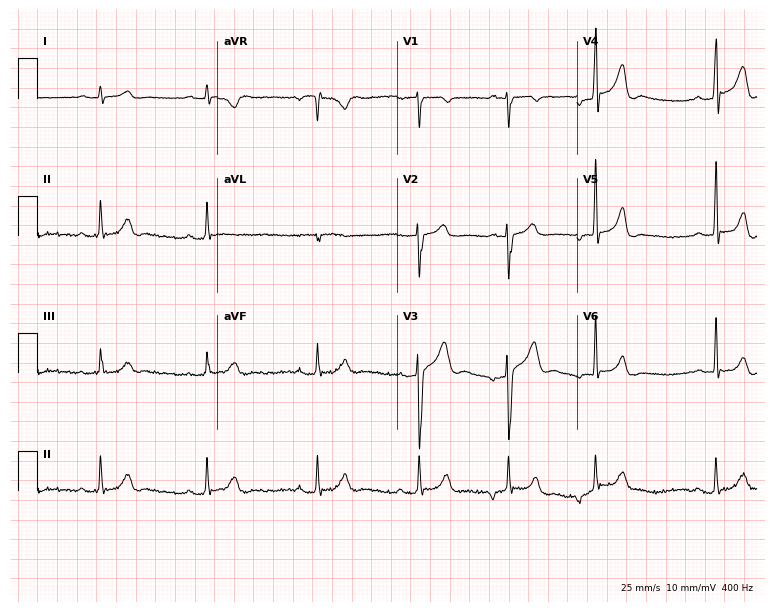
12-lead ECG from a male, 17 years old. Recorded interpretation: within normal limits.